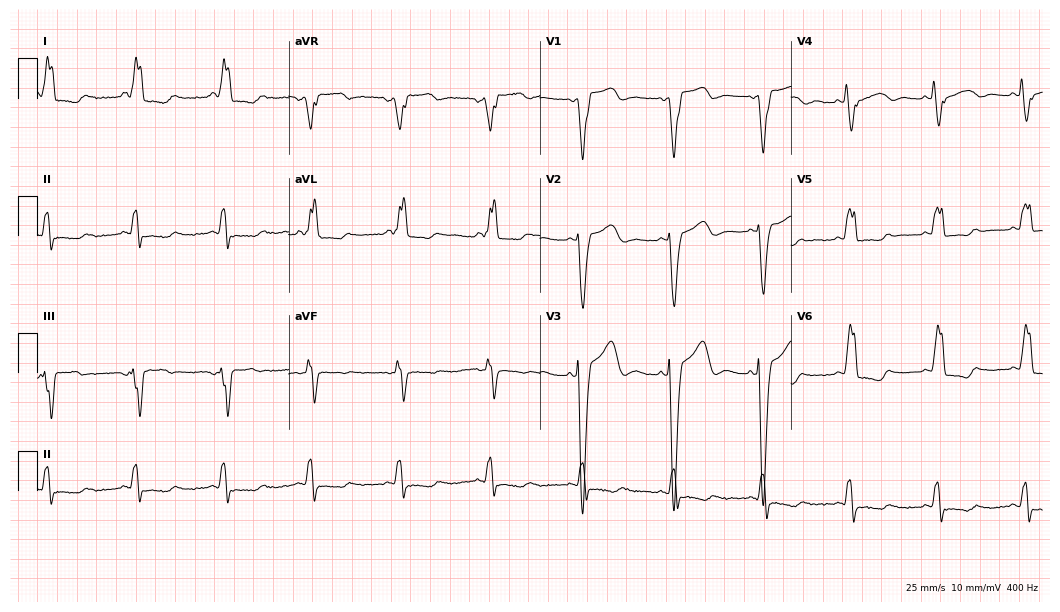
12-lead ECG from a 64-year-old female patient. Shows left bundle branch block.